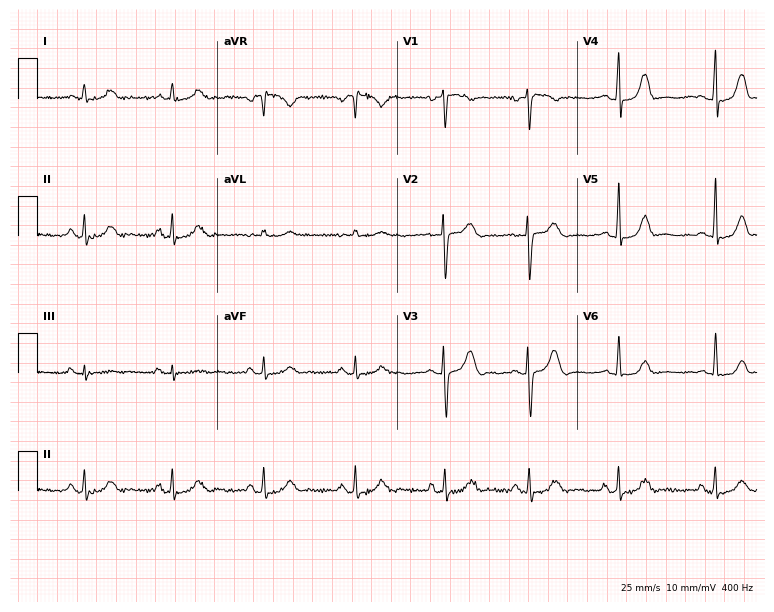
12-lead ECG (7.3-second recording at 400 Hz) from a woman, 40 years old. Labelled as a normal ECG.